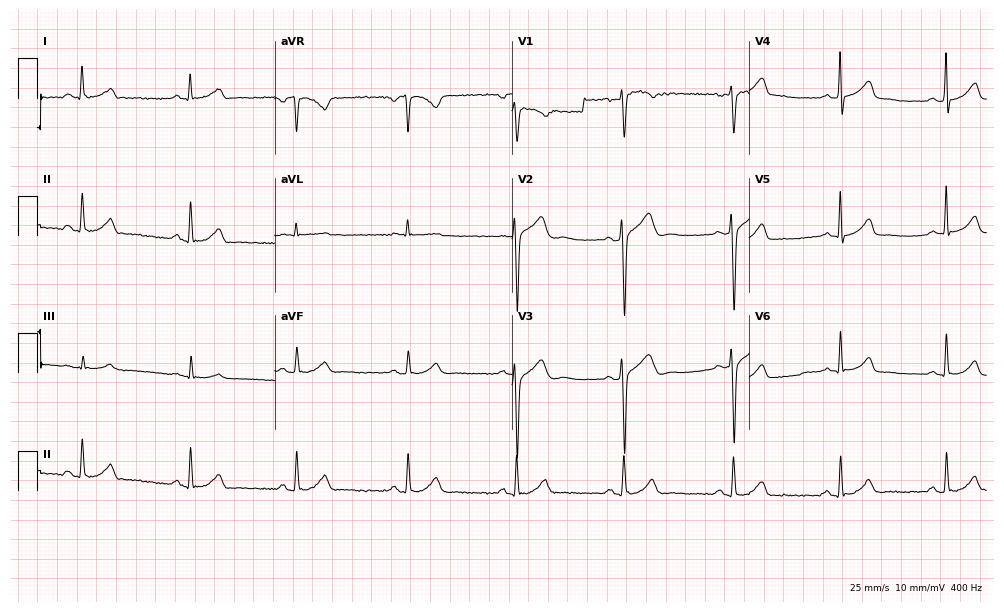
12-lead ECG from a man, 42 years old. No first-degree AV block, right bundle branch block (RBBB), left bundle branch block (LBBB), sinus bradycardia, atrial fibrillation (AF) or sinus tachycardia recorded for this tracing. Only these six findings were labelled.